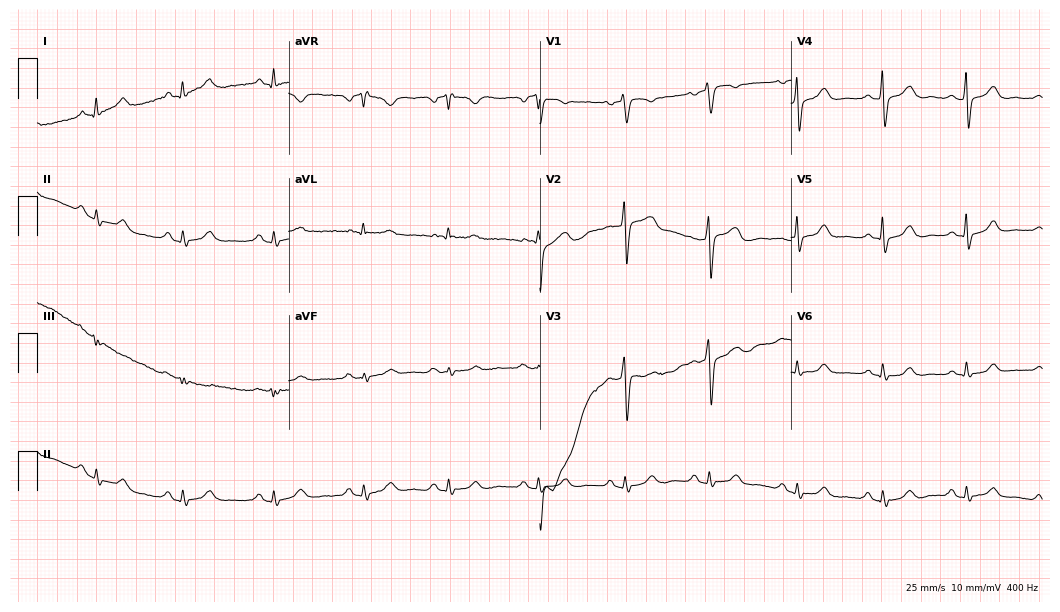
Resting 12-lead electrocardiogram. Patient: a woman, 43 years old. Read as a normal ECG.